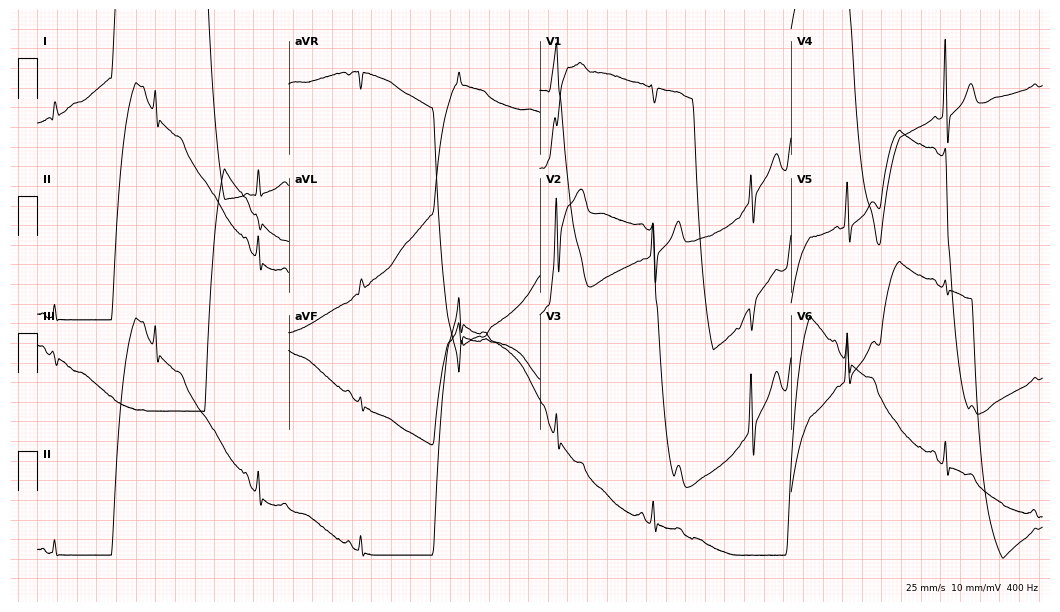
12-lead ECG from a 57-year-old male. No first-degree AV block, right bundle branch block, left bundle branch block, sinus bradycardia, atrial fibrillation or sinus tachycardia recorded for this tracing. Only these six findings were labelled.